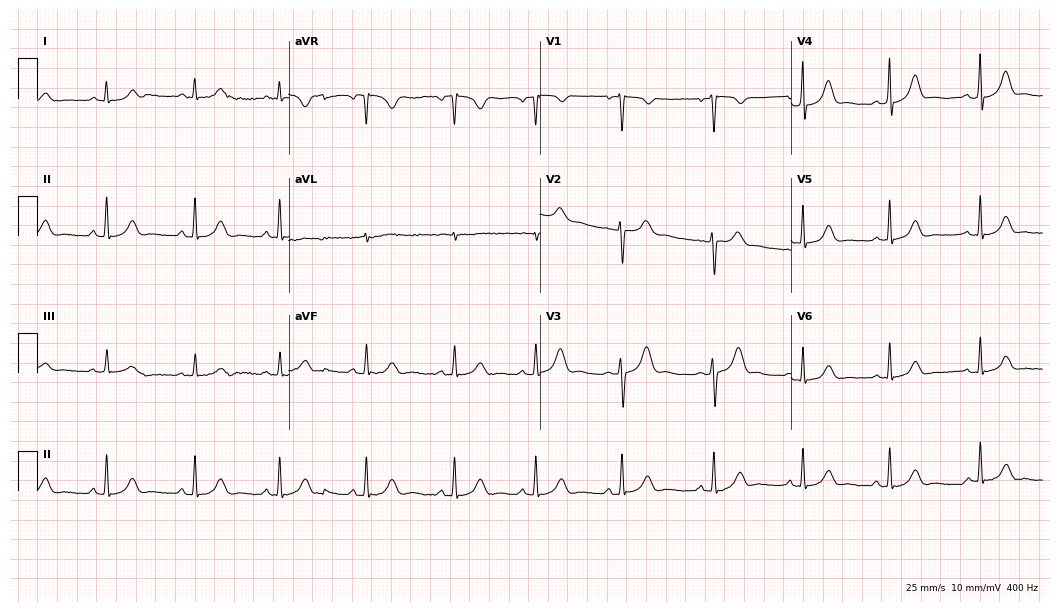
12-lead ECG from a 17-year-old female patient. Recorded interpretation: within normal limits.